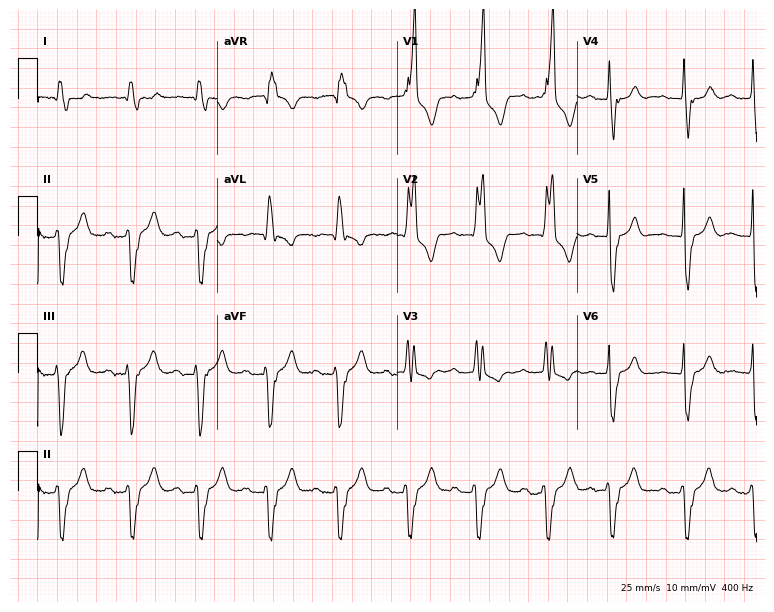
ECG (7.3-second recording at 400 Hz) — a male, 83 years old. Findings include first-degree AV block, right bundle branch block.